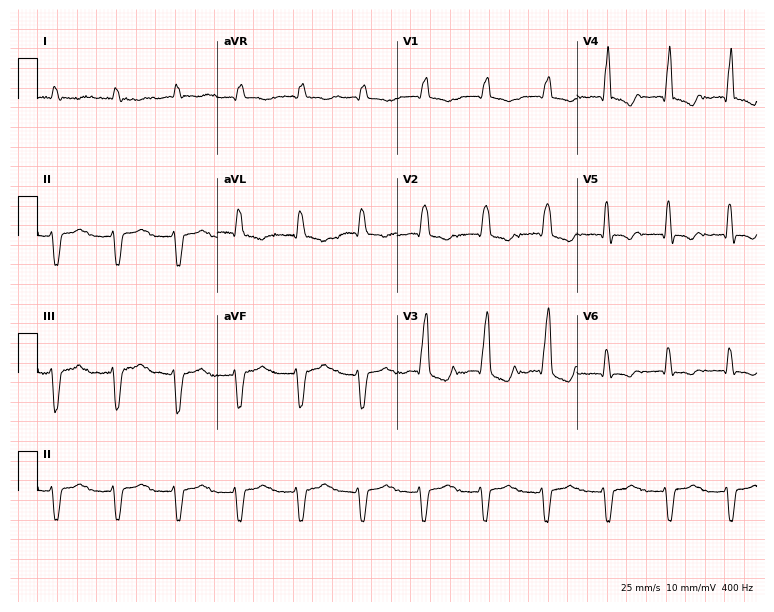
Resting 12-lead electrocardiogram (7.3-second recording at 400 Hz). Patient: a male, 68 years old. The tracing shows first-degree AV block, right bundle branch block.